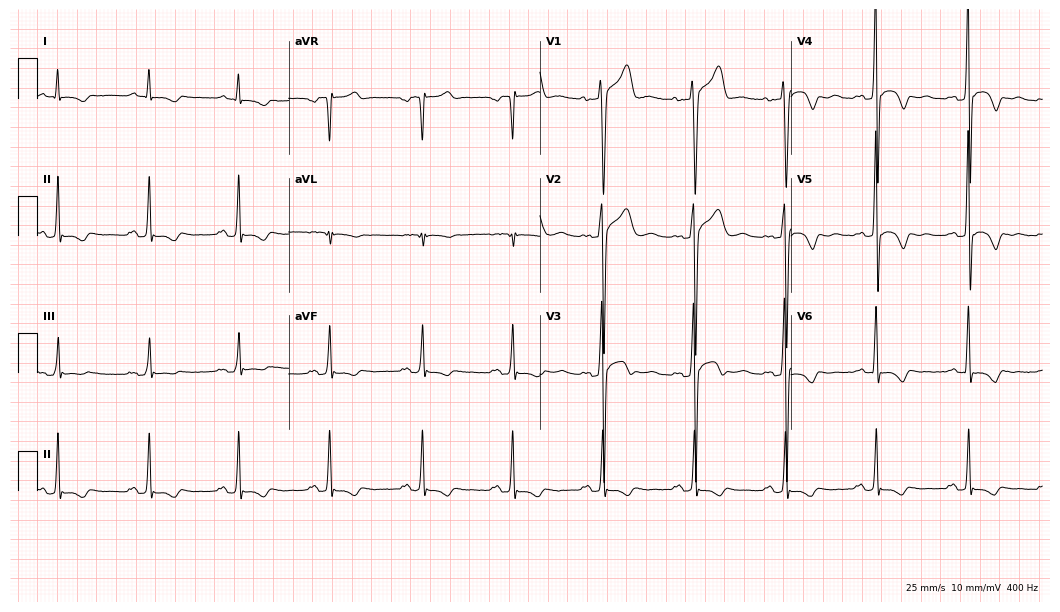
Resting 12-lead electrocardiogram (10.2-second recording at 400 Hz). Patient: a 39-year-old man. None of these six findings is recorded: first-degree AV block, right bundle branch block, left bundle branch block, sinus bradycardia, atrial fibrillation, sinus tachycardia. Only these six findings were labelled.